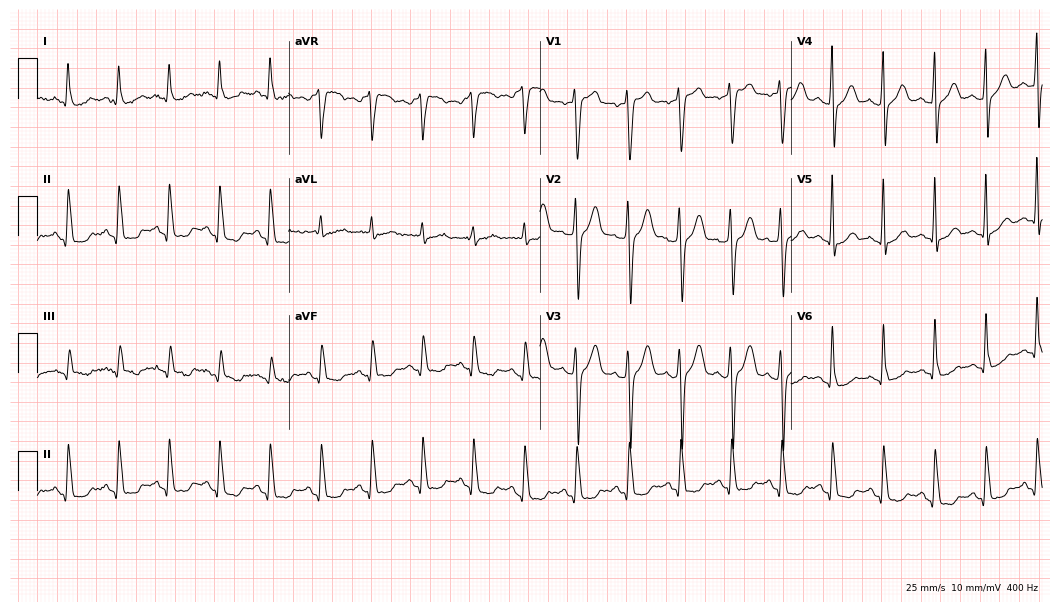
12-lead ECG from a male, 42 years old. Shows sinus tachycardia (a sinus rate of 100 beats per minute or more).